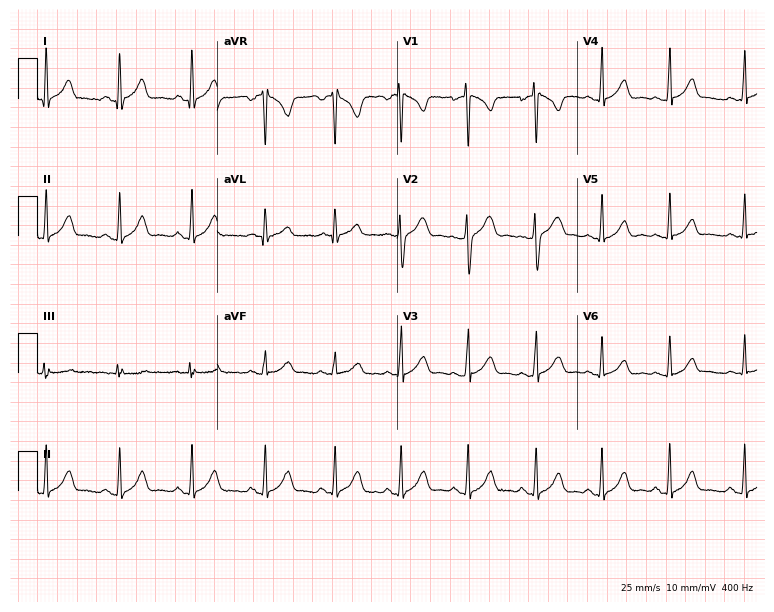
12-lead ECG from a 25-year-old female (7.3-second recording at 400 Hz). Recorded interpretation: within normal limits.